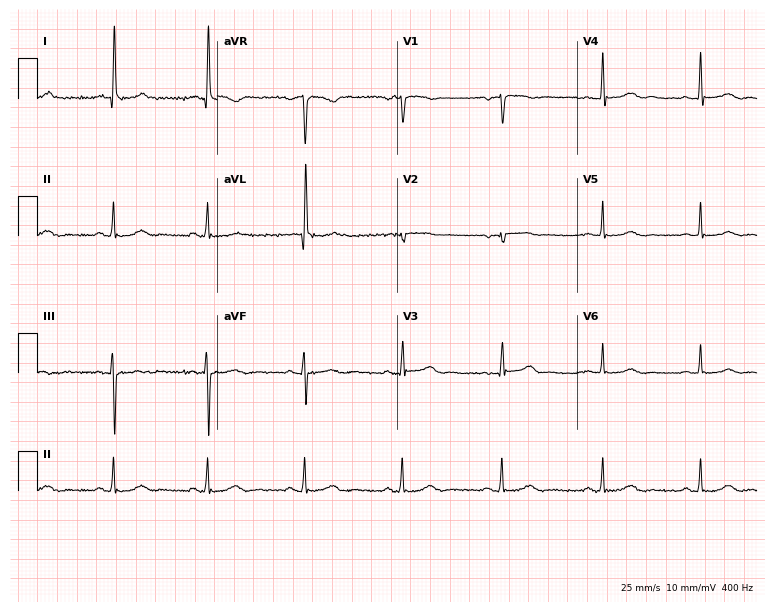
12-lead ECG from a female, 66 years old (7.3-second recording at 400 Hz). Recorded interpretation: within normal limits.